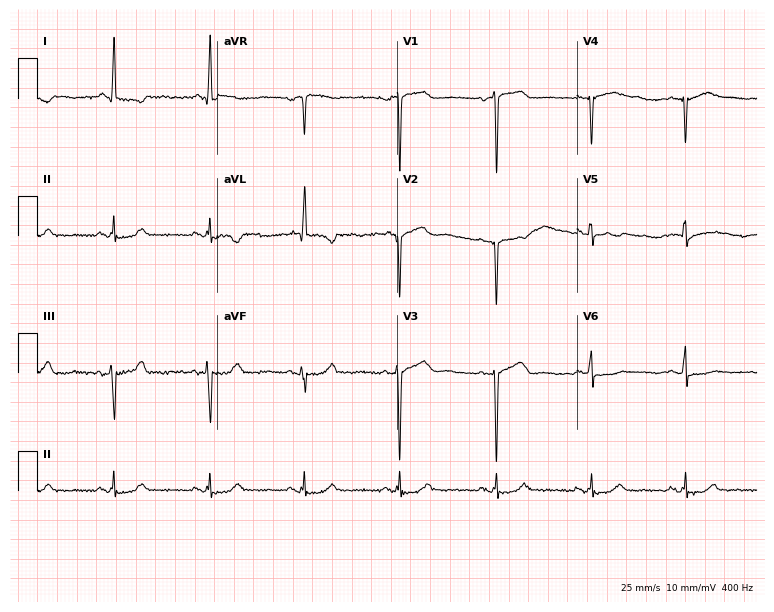
Electrocardiogram, a 70-year-old female. Of the six screened findings (first-degree AV block, right bundle branch block, left bundle branch block, sinus bradycardia, atrial fibrillation, sinus tachycardia), none is recorded. Other findings, if any, are not listed.